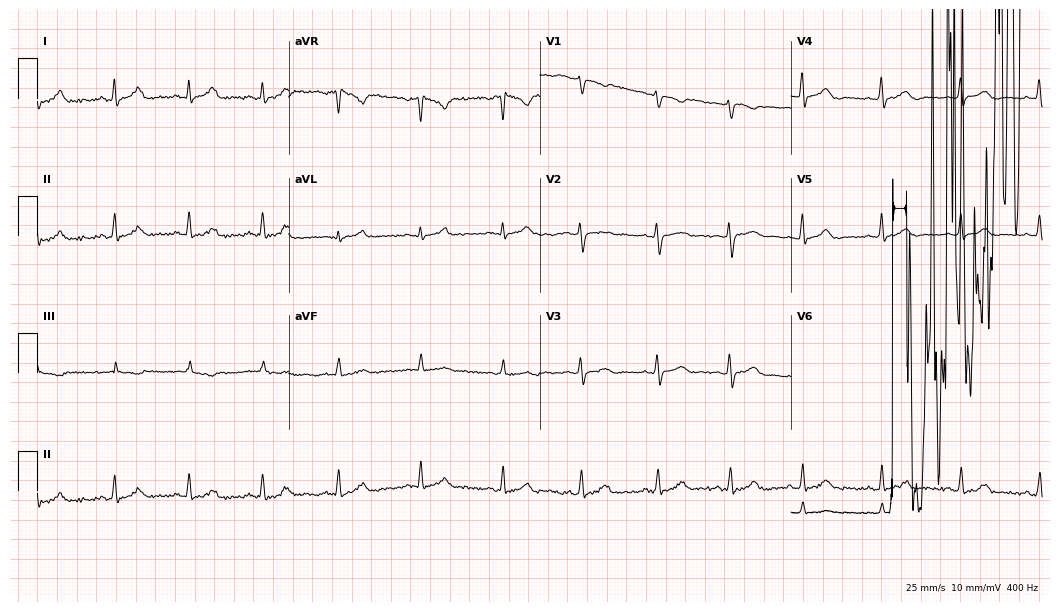
Electrocardiogram (10.2-second recording at 400 Hz), a 24-year-old woman. Of the six screened findings (first-degree AV block, right bundle branch block, left bundle branch block, sinus bradycardia, atrial fibrillation, sinus tachycardia), none is recorded.